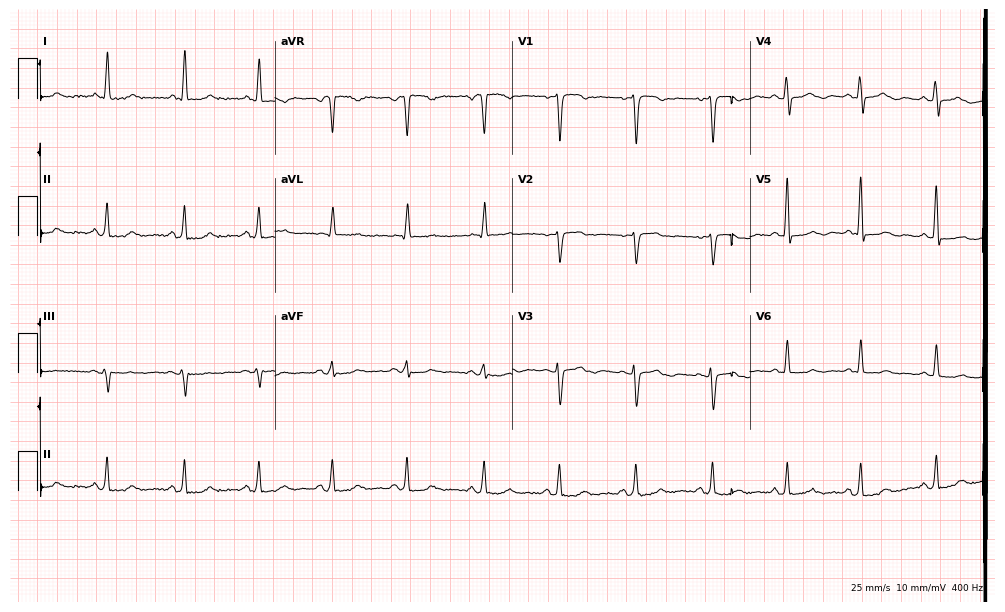
Standard 12-lead ECG recorded from a 60-year-old female. None of these six findings is recorded: first-degree AV block, right bundle branch block (RBBB), left bundle branch block (LBBB), sinus bradycardia, atrial fibrillation (AF), sinus tachycardia. Only these six findings were labelled.